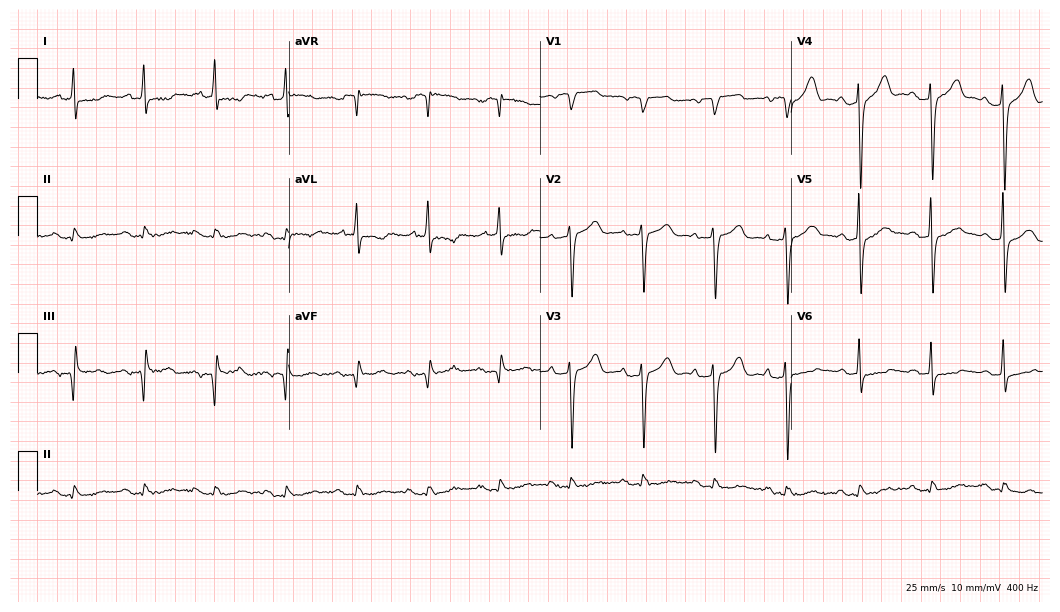
ECG — a female patient, 83 years old. Screened for six findings — first-degree AV block, right bundle branch block, left bundle branch block, sinus bradycardia, atrial fibrillation, sinus tachycardia — none is recorded. Only these six findings were labelled.